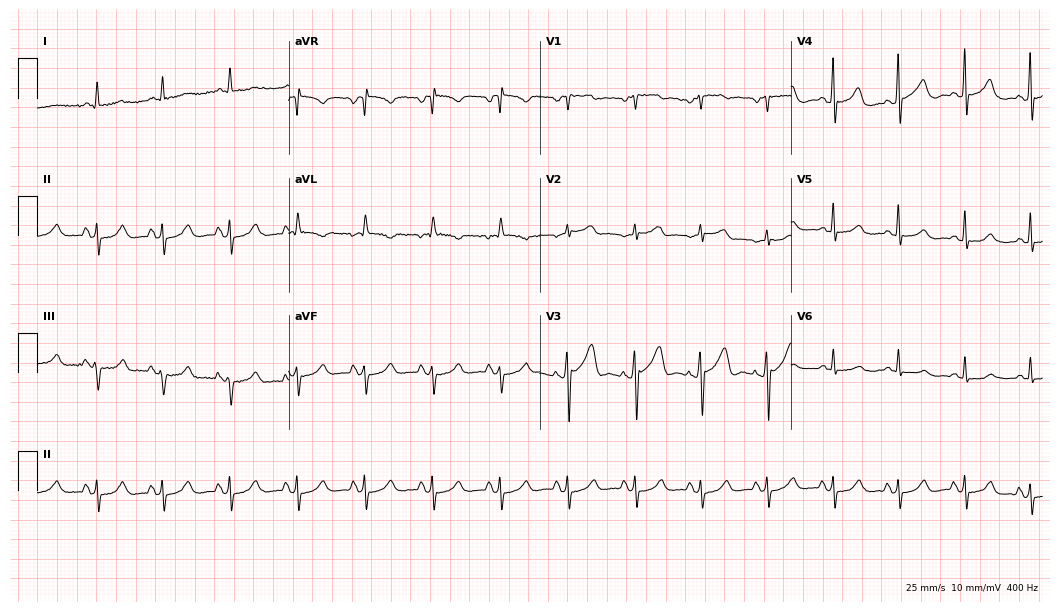
12-lead ECG from a female, 61 years old. No first-degree AV block, right bundle branch block, left bundle branch block, sinus bradycardia, atrial fibrillation or sinus tachycardia recorded for this tracing.